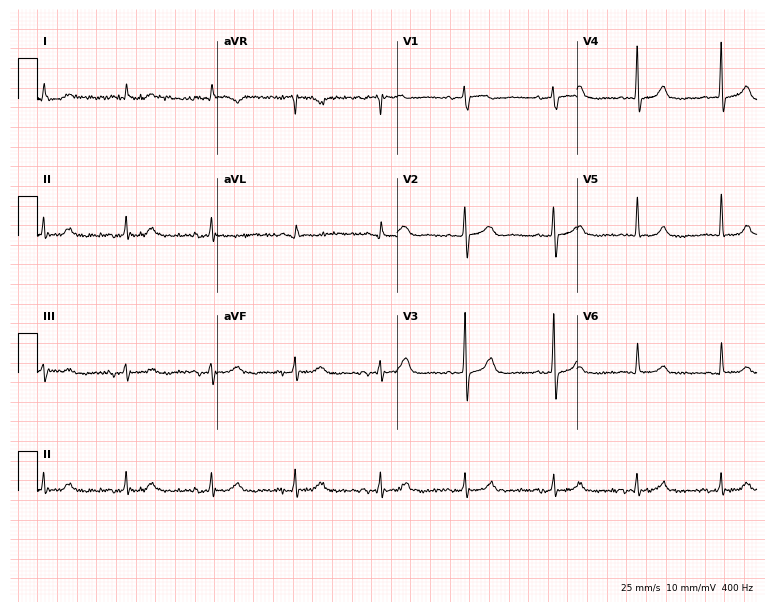
12-lead ECG from an 82-year-old male. Labelled as a normal ECG.